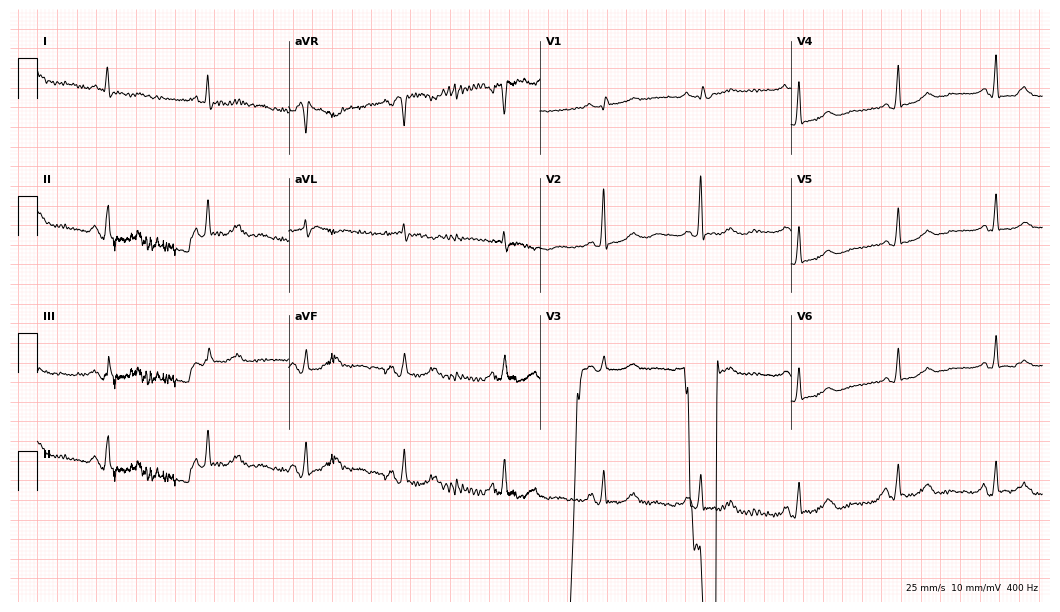
12-lead ECG from an 82-year-old woman. Screened for six findings — first-degree AV block, right bundle branch block, left bundle branch block, sinus bradycardia, atrial fibrillation, sinus tachycardia — none is recorded. Only these six findings were labelled.